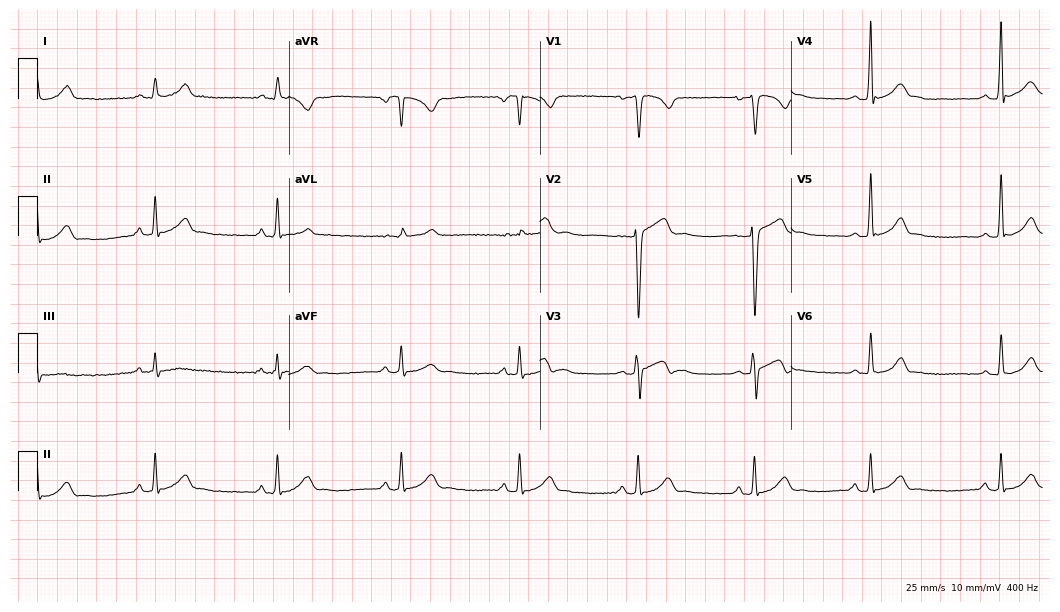
Standard 12-lead ECG recorded from a male, 37 years old (10.2-second recording at 400 Hz). Read as a normal ECG.